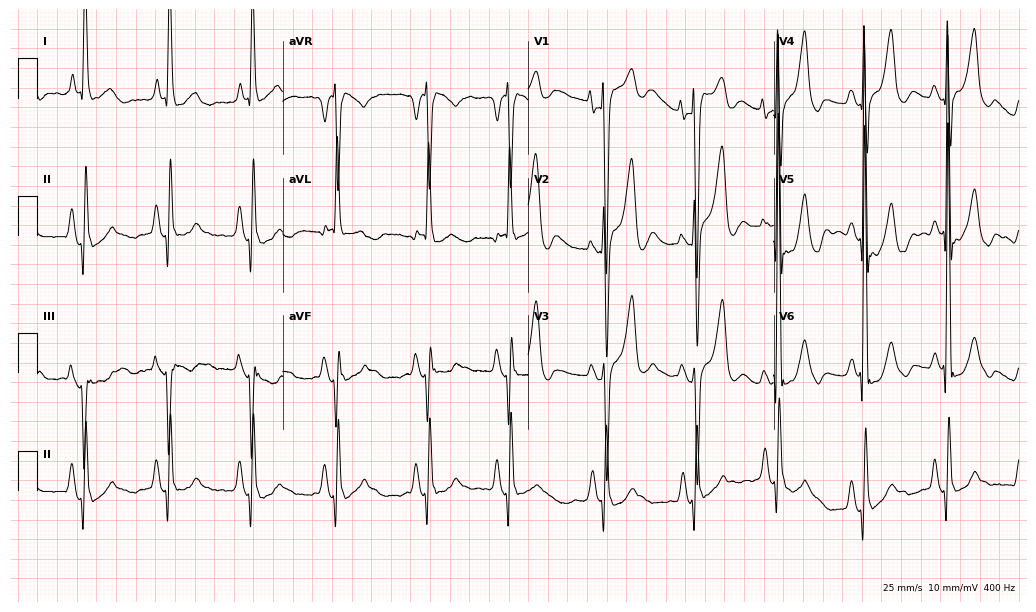
12-lead ECG from an 84-year-old female (10-second recording at 400 Hz). No first-degree AV block, right bundle branch block (RBBB), left bundle branch block (LBBB), sinus bradycardia, atrial fibrillation (AF) or sinus tachycardia recorded for this tracing. Only these six findings were labelled.